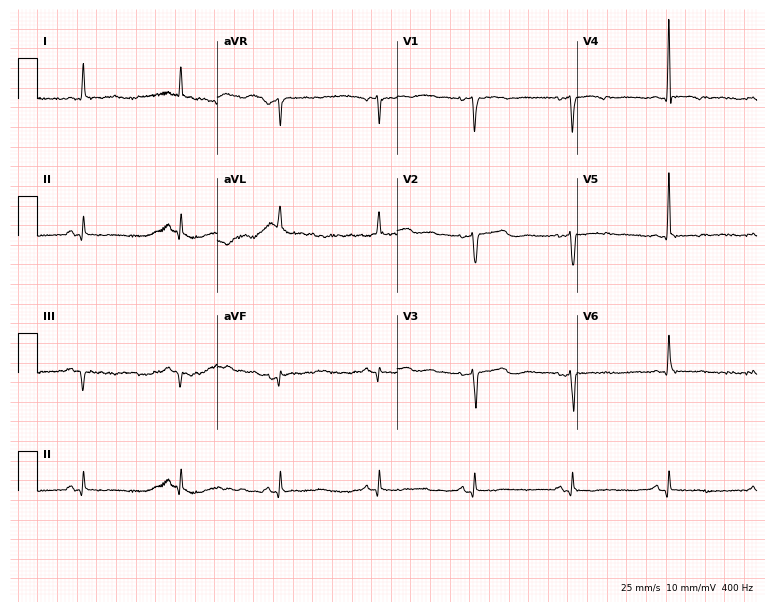
12-lead ECG from a woman, 70 years old (7.3-second recording at 400 Hz). No first-degree AV block, right bundle branch block, left bundle branch block, sinus bradycardia, atrial fibrillation or sinus tachycardia recorded for this tracing. Findings outside these six are not listed.